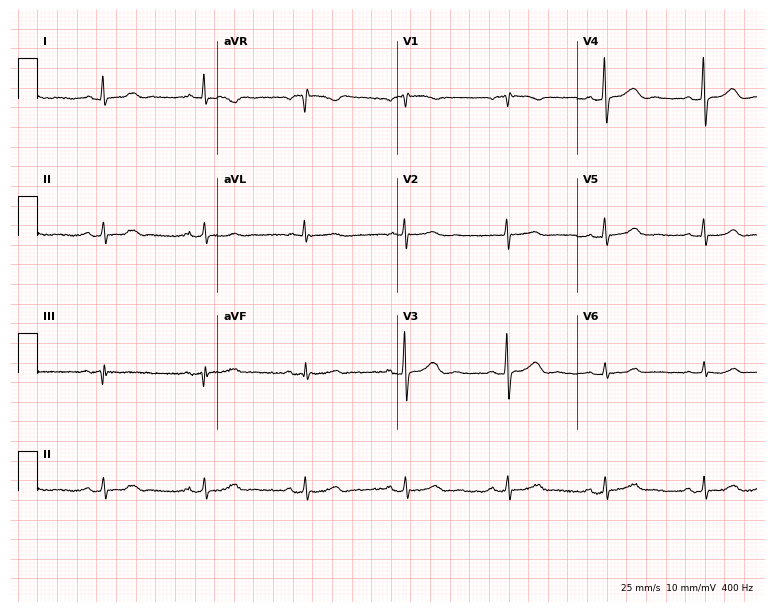
Electrocardiogram (7.3-second recording at 400 Hz), a female patient, 67 years old. Overall reading on record: normal ECG.